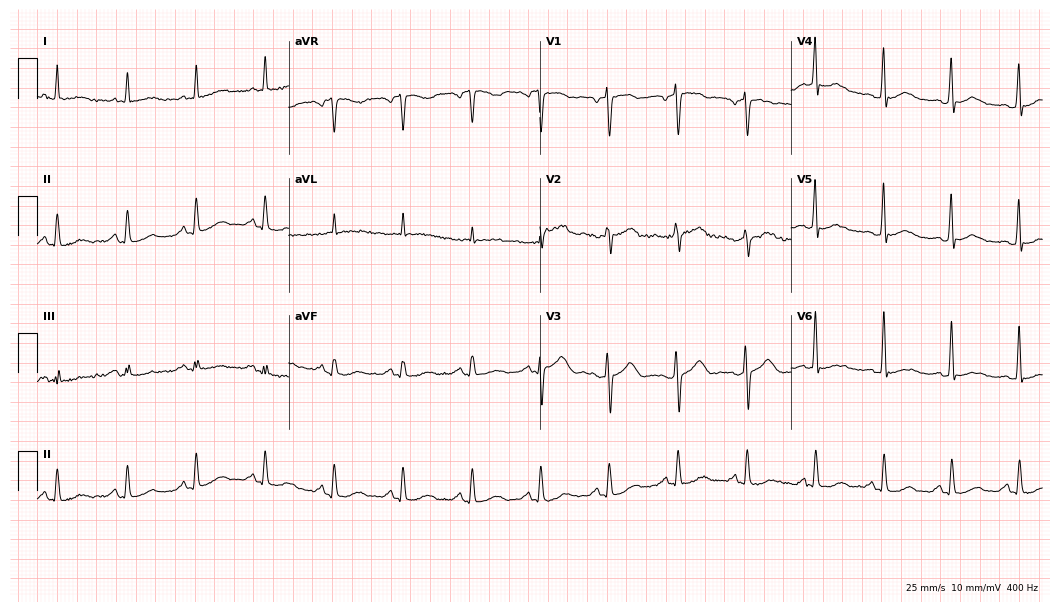
Electrocardiogram (10.2-second recording at 400 Hz), a female, 67 years old. Of the six screened findings (first-degree AV block, right bundle branch block, left bundle branch block, sinus bradycardia, atrial fibrillation, sinus tachycardia), none is recorded.